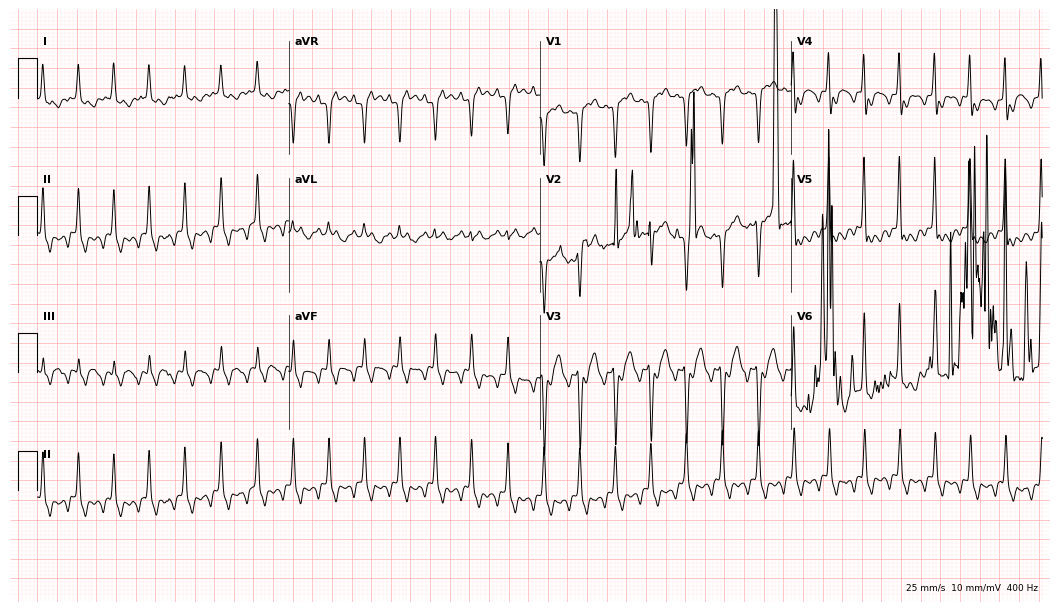
12-lead ECG (10.2-second recording at 400 Hz) from a man, 47 years old. Screened for six findings — first-degree AV block, right bundle branch block, left bundle branch block, sinus bradycardia, atrial fibrillation, sinus tachycardia — none is recorded.